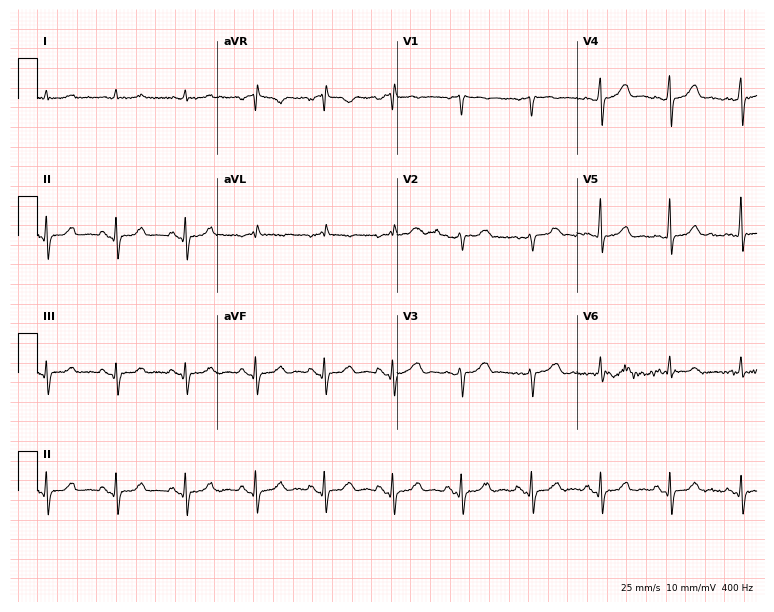
Standard 12-lead ECG recorded from a female patient, 74 years old. Read as a normal ECG.